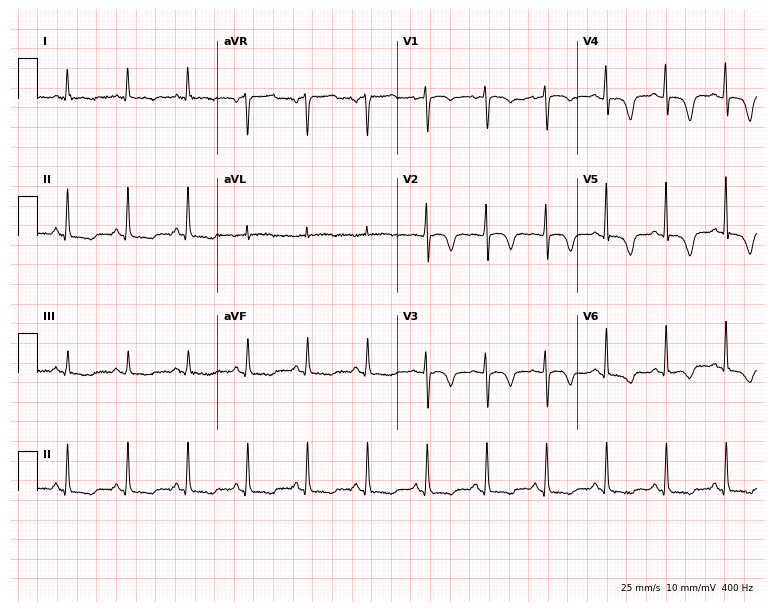
Resting 12-lead electrocardiogram (7.3-second recording at 400 Hz). Patient: a woman, 58 years old. None of these six findings is recorded: first-degree AV block, right bundle branch block, left bundle branch block, sinus bradycardia, atrial fibrillation, sinus tachycardia. Only these six findings were labelled.